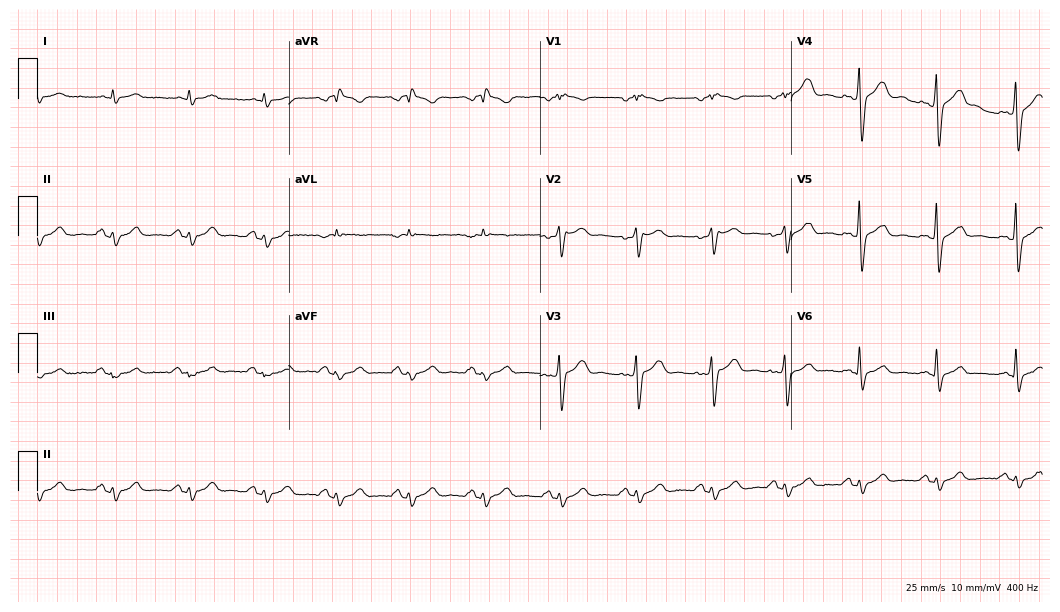
ECG (10.2-second recording at 400 Hz) — a 41-year-old man. Screened for six findings — first-degree AV block, right bundle branch block (RBBB), left bundle branch block (LBBB), sinus bradycardia, atrial fibrillation (AF), sinus tachycardia — none is recorded.